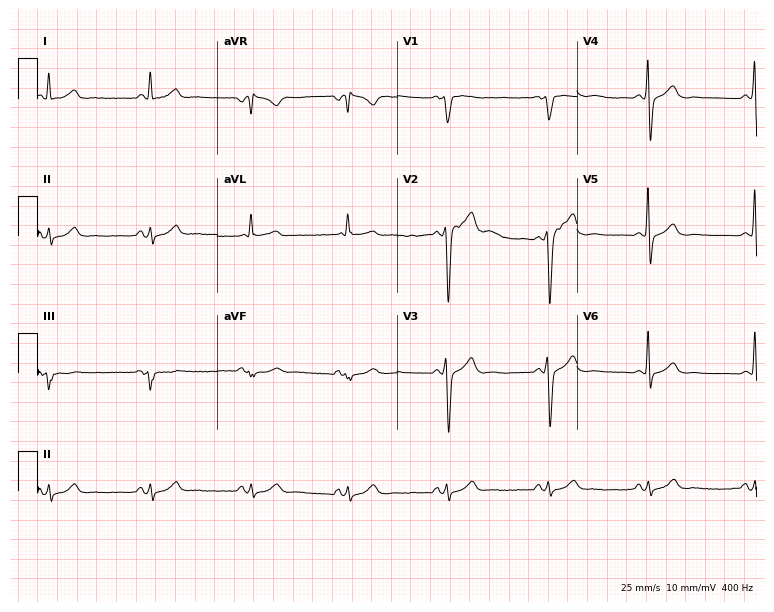
12-lead ECG (7.3-second recording at 400 Hz) from a 42-year-old male patient. Screened for six findings — first-degree AV block, right bundle branch block, left bundle branch block, sinus bradycardia, atrial fibrillation, sinus tachycardia — none is recorded. Findings outside these six are not listed.